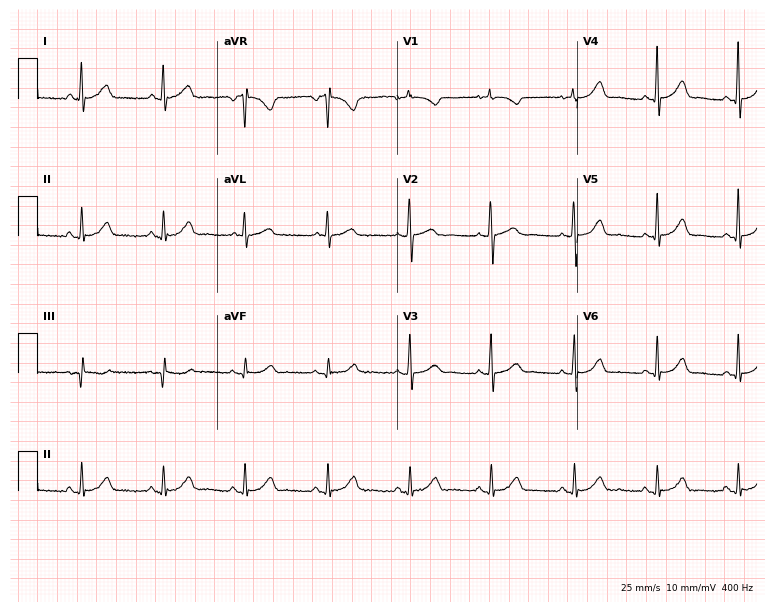
12-lead ECG from a 70-year-old female. Recorded interpretation: within normal limits.